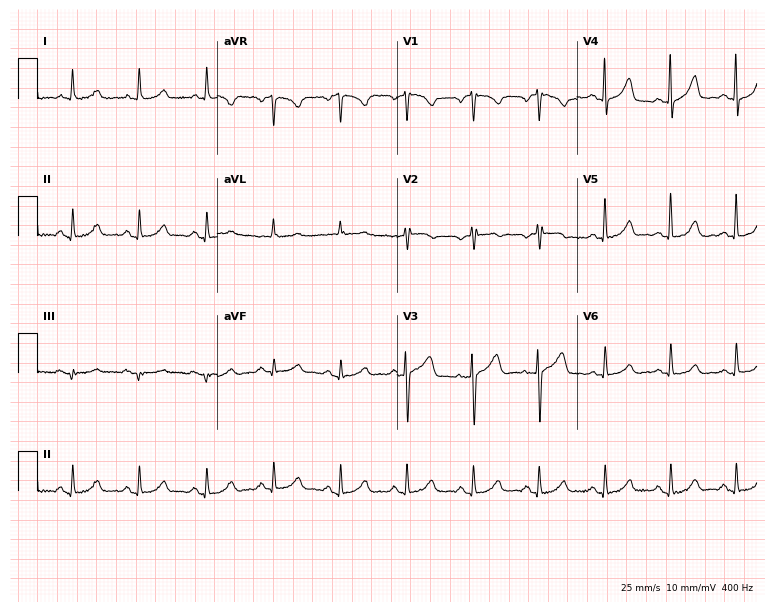
12-lead ECG from a female patient, 67 years old (7.3-second recording at 400 Hz). Recorded interpretation: within normal limits.